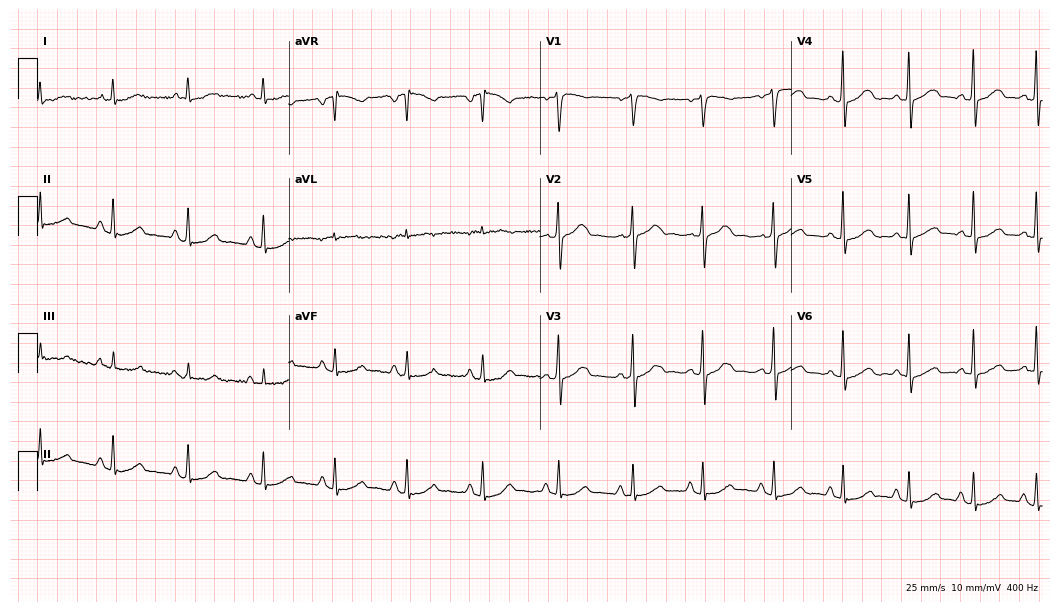
ECG — a man, 35 years old. Labelled as a normal ECG.